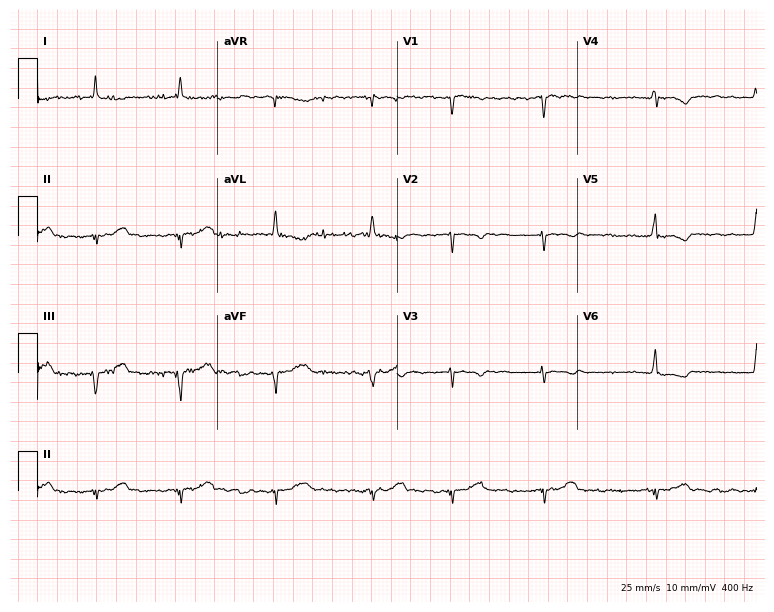
12-lead ECG from a male, 79 years old (7.3-second recording at 400 Hz). Shows atrial fibrillation.